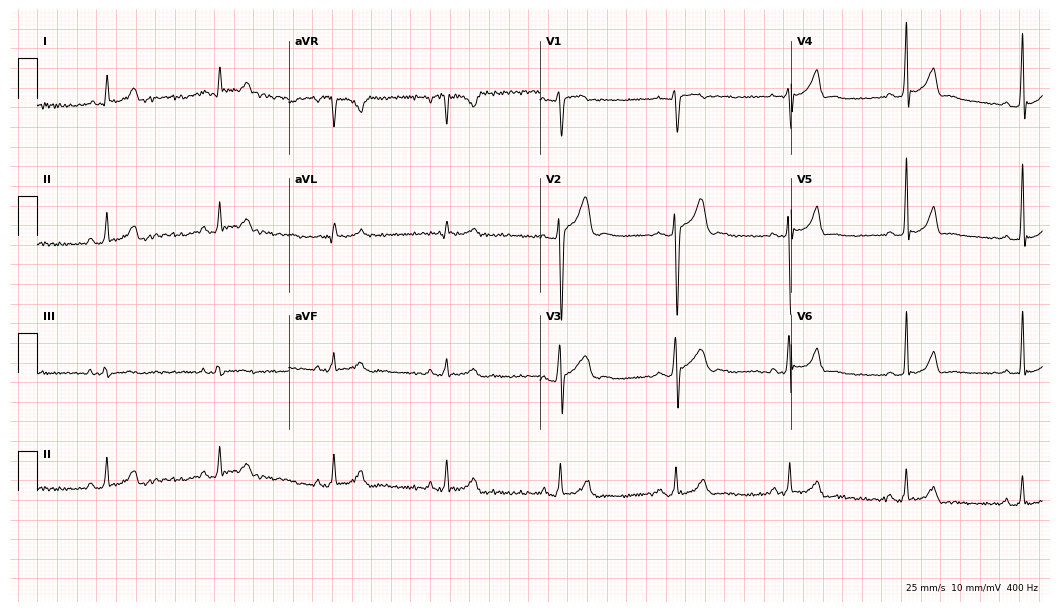
ECG — a 24-year-old man. Labelled as a normal ECG.